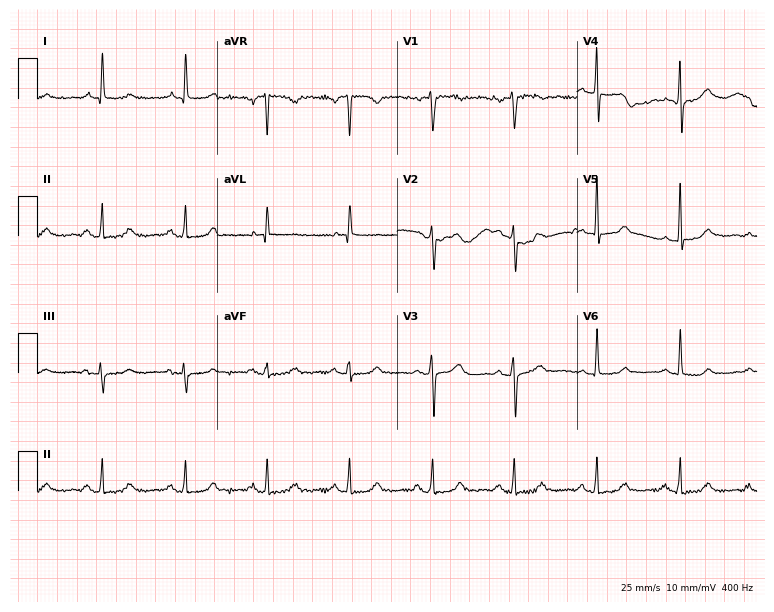
ECG — a female patient, 65 years old. Labelled as a normal ECG.